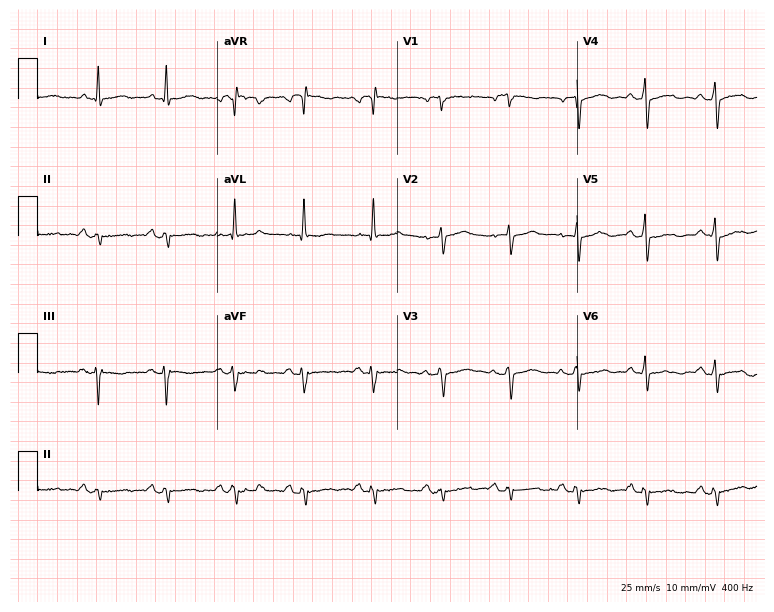
12-lead ECG from a male, 61 years old. Screened for six findings — first-degree AV block, right bundle branch block, left bundle branch block, sinus bradycardia, atrial fibrillation, sinus tachycardia — none is recorded.